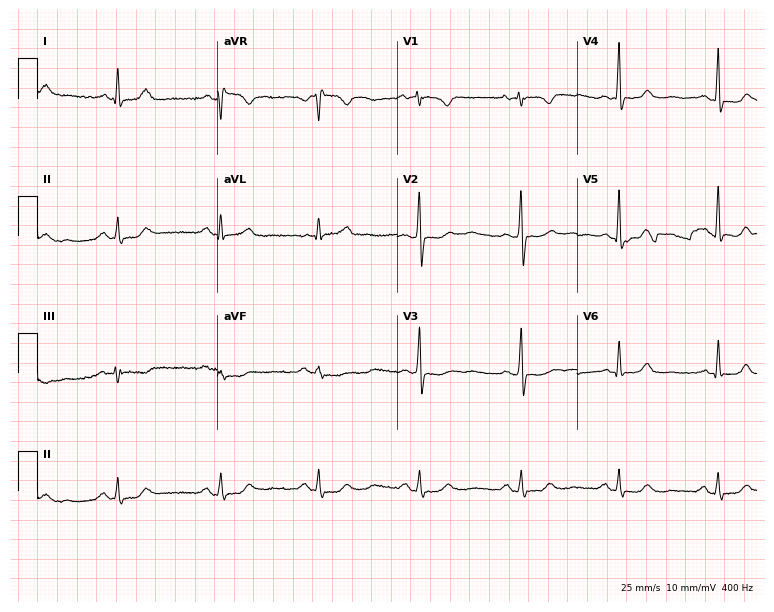
ECG (7.3-second recording at 400 Hz) — a 63-year-old female patient. Labelled as a normal ECG.